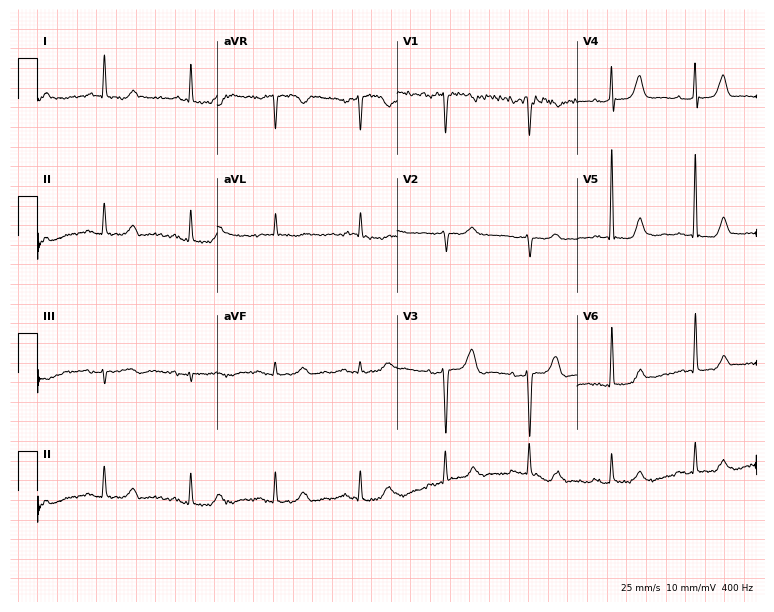
ECG — an 84-year-old female patient. Screened for six findings — first-degree AV block, right bundle branch block, left bundle branch block, sinus bradycardia, atrial fibrillation, sinus tachycardia — none is recorded. Findings outside these six are not listed.